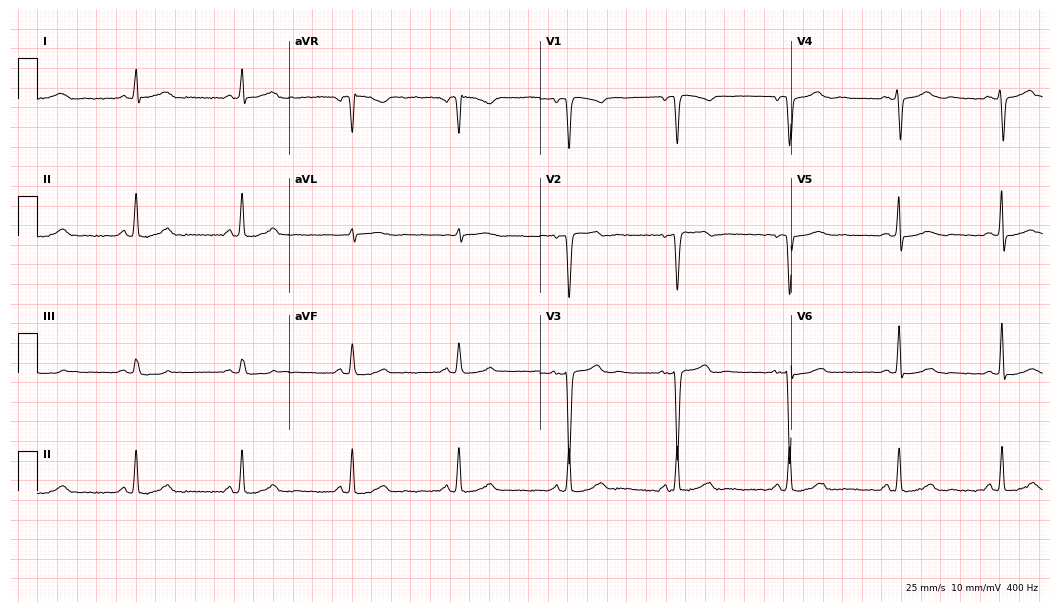
Resting 12-lead electrocardiogram (10.2-second recording at 400 Hz). Patient: a 49-year-old woman. None of these six findings is recorded: first-degree AV block, right bundle branch block, left bundle branch block, sinus bradycardia, atrial fibrillation, sinus tachycardia.